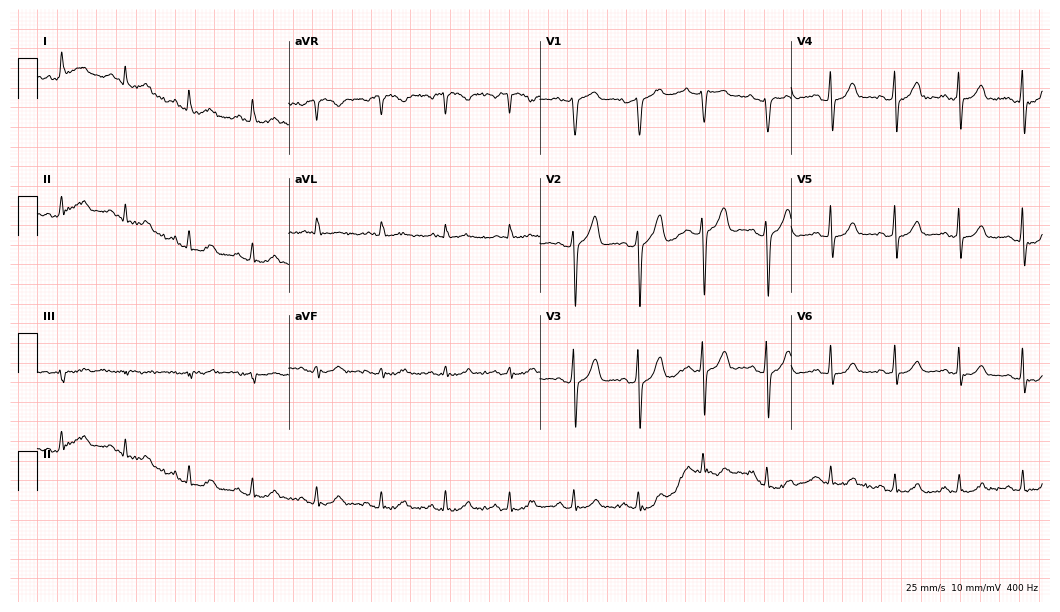
ECG — a male, 62 years old. Labelled as a normal ECG.